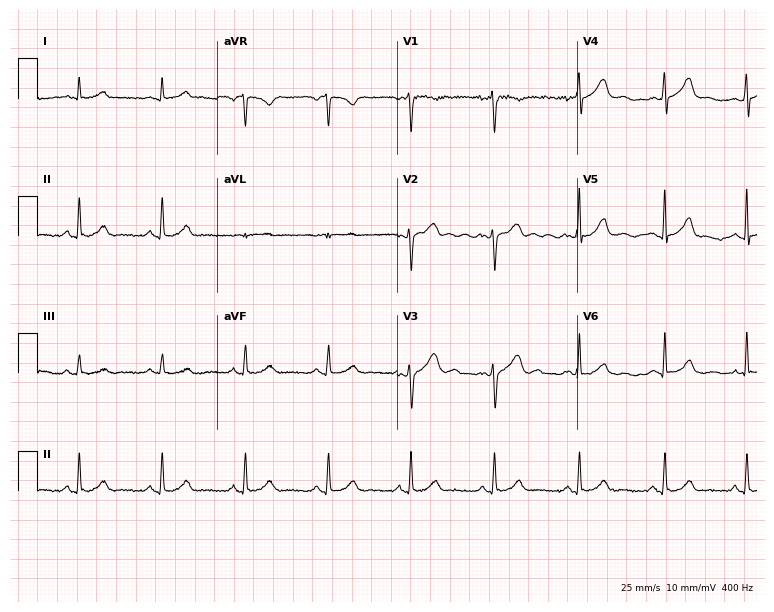
Resting 12-lead electrocardiogram. Patient: a 22-year-old female. Read as a normal ECG.